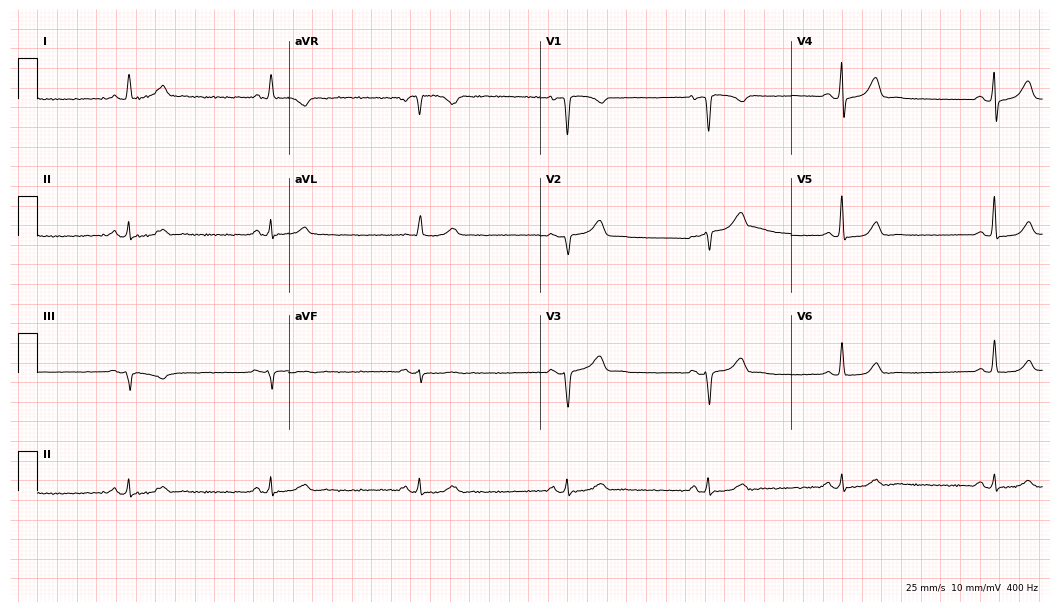
12-lead ECG from a female patient, 43 years old. Shows sinus bradycardia (a sinus rate of 50 beats per minute or less).